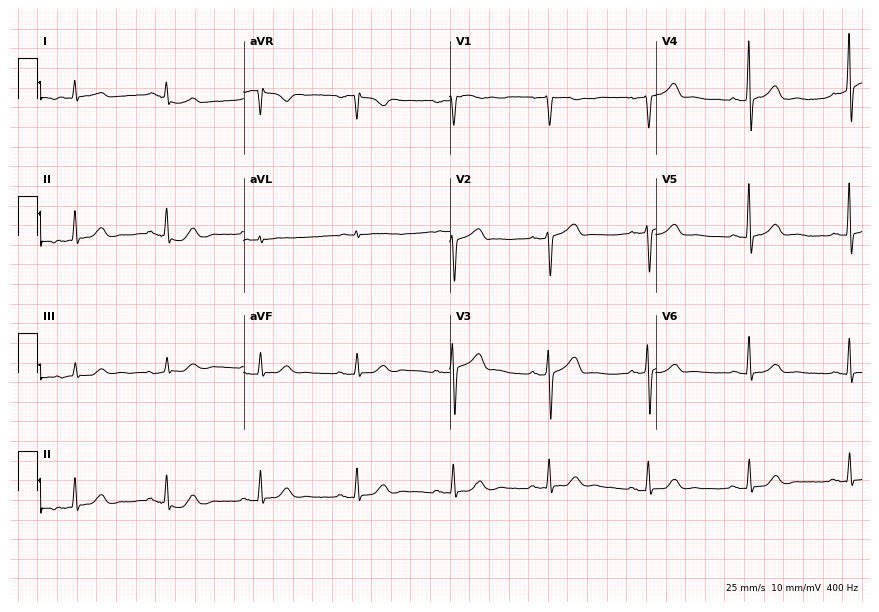
Electrocardiogram, a male patient, 71 years old. Overall reading on record: normal ECG.